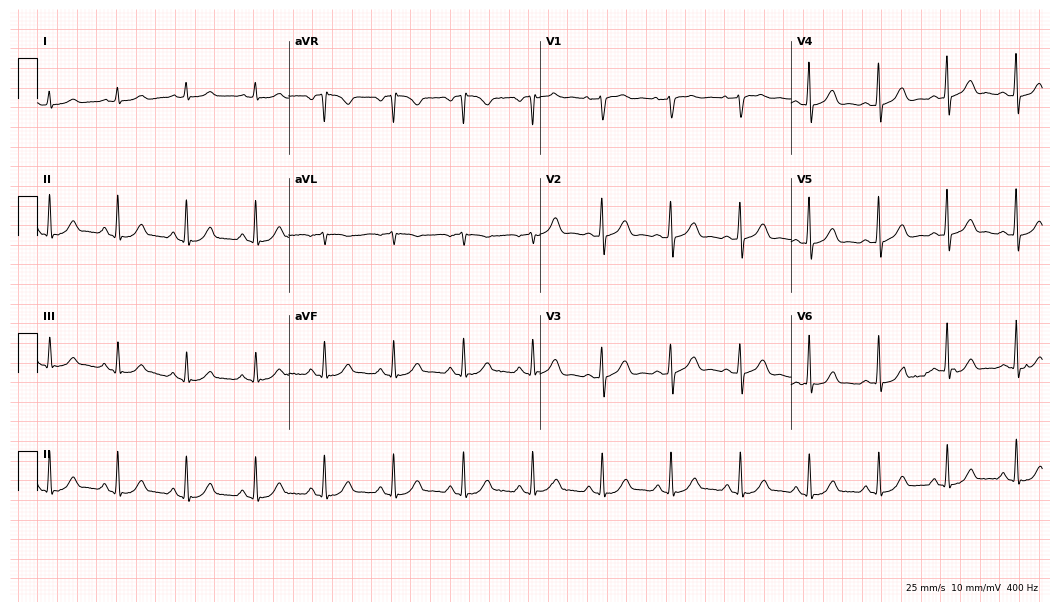
12-lead ECG from a male, 66 years old. Recorded interpretation: within normal limits.